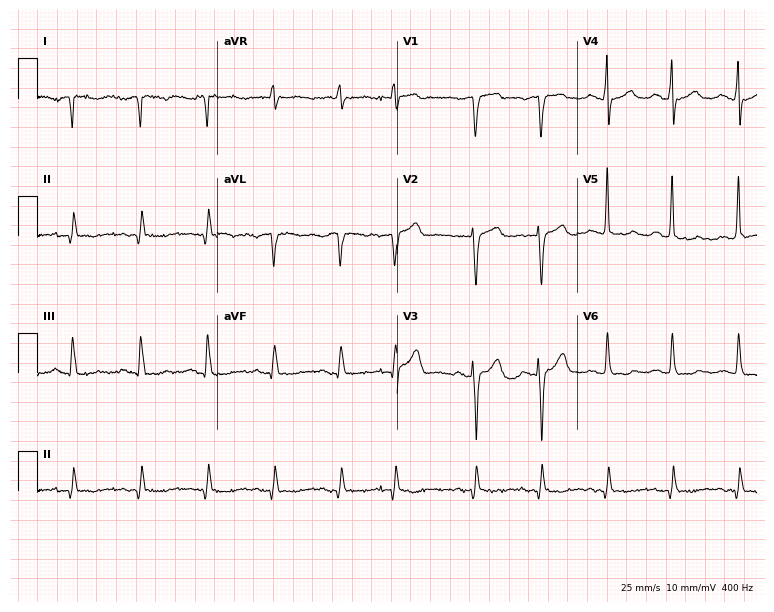
Standard 12-lead ECG recorded from a 75-year-old man. None of these six findings is recorded: first-degree AV block, right bundle branch block (RBBB), left bundle branch block (LBBB), sinus bradycardia, atrial fibrillation (AF), sinus tachycardia.